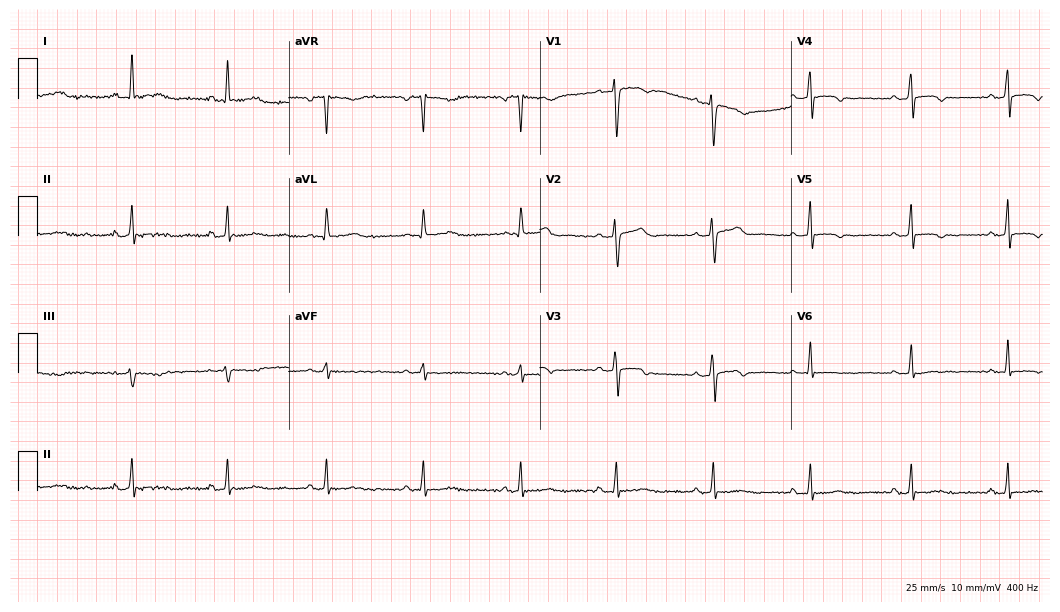
Standard 12-lead ECG recorded from a 59-year-old woman (10.2-second recording at 400 Hz). Read as a normal ECG.